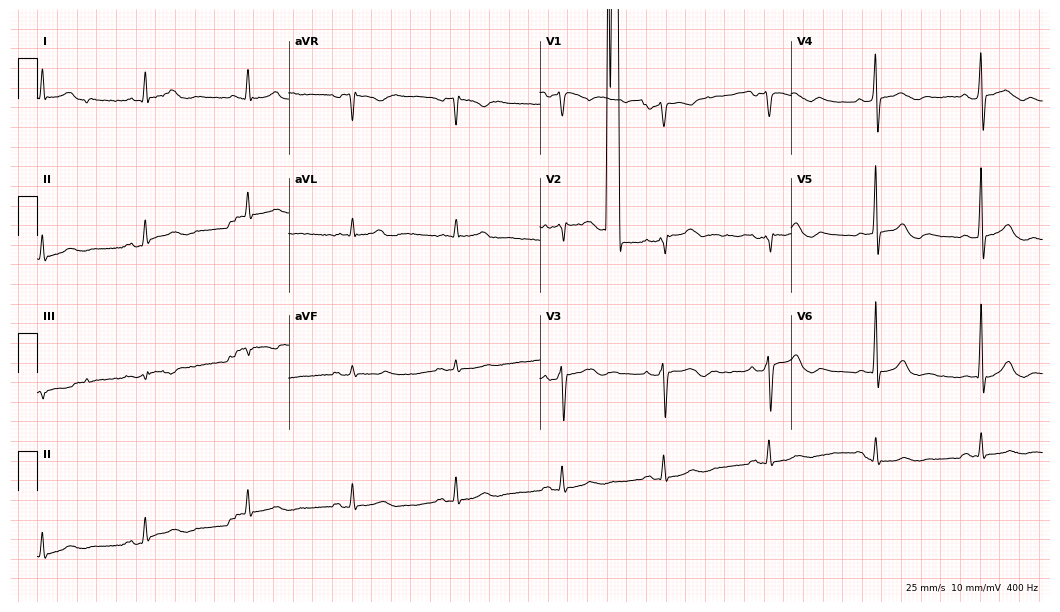
ECG (10.2-second recording at 400 Hz) — a 74-year-old male. Screened for six findings — first-degree AV block, right bundle branch block, left bundle branch block, sinus bradycardia, atrial fibrillation, sinus tachycardia — none is recorded.